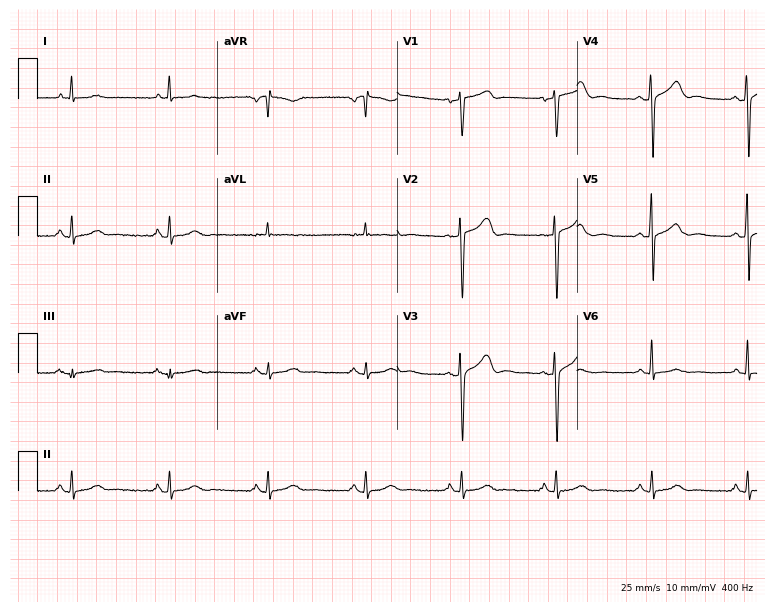
Electrocardiogram (7.3-second recording at 400 Hz), a woman, 51 years old. Overall reading on record: normal ECG.